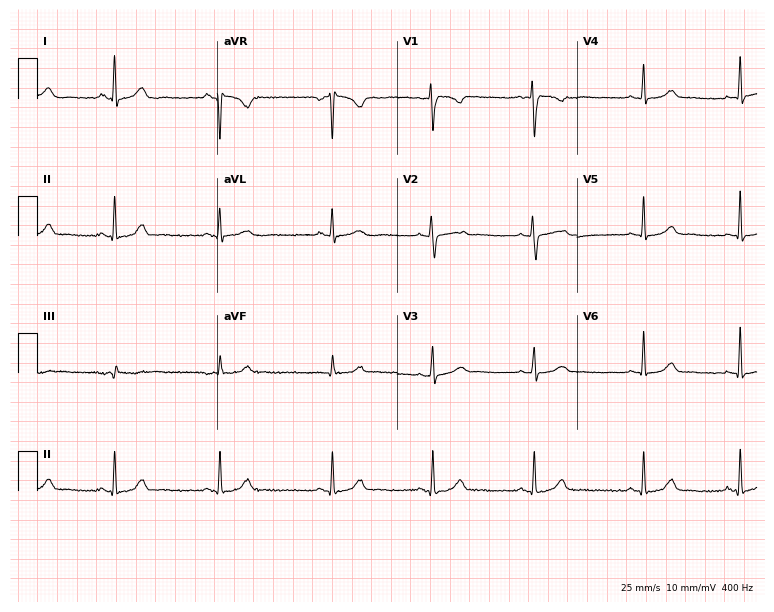
ECG — a female patient, 30 years old. Labelled as a normal ECG.